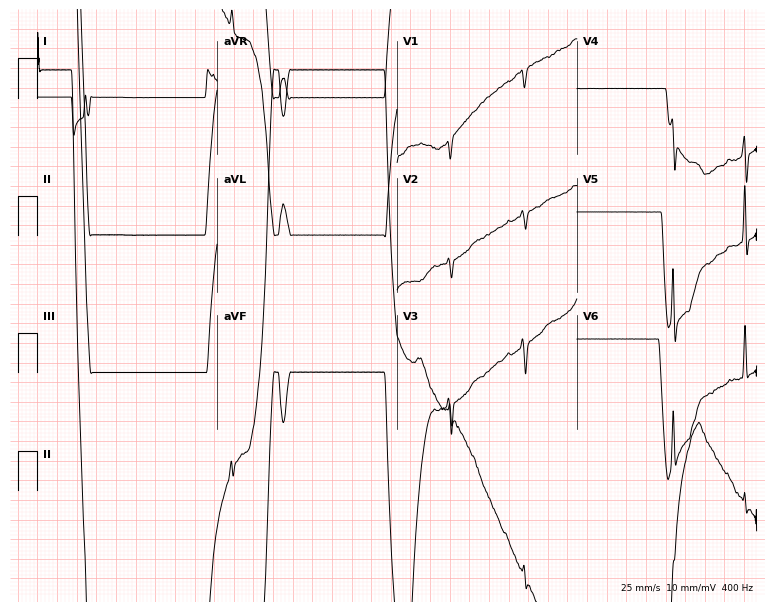
ECG (7.3-second recording at 400 Hz) — an 84-year-old male. Screened for six findings — first-degree AV block, right bundle branch block (RBBB), left bundle branch block (LBBB), sinus bradycardia, atrial fibrillation (AF), sinus tachycardia — none is recorded. Only these six findings were labelled.